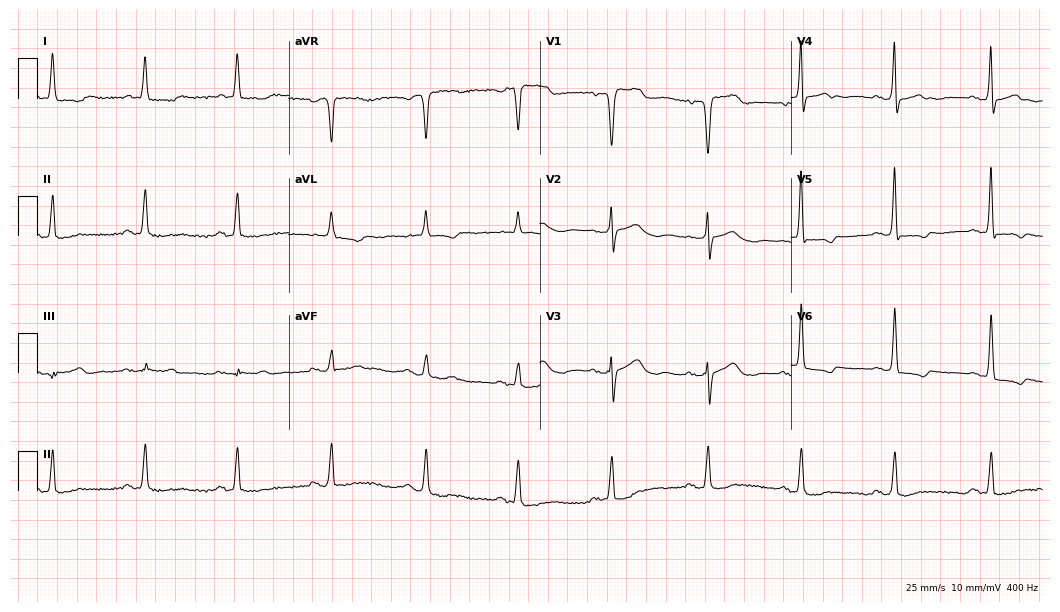
12-lead ECG from a female, 80 years old. No first-degree AV block, right bundle branch block (RBBB), left bundle branch block (LBBB), sinus bradycardia, atrial fibrillation (AF) or sinus tachycardia recorded for this tracing.